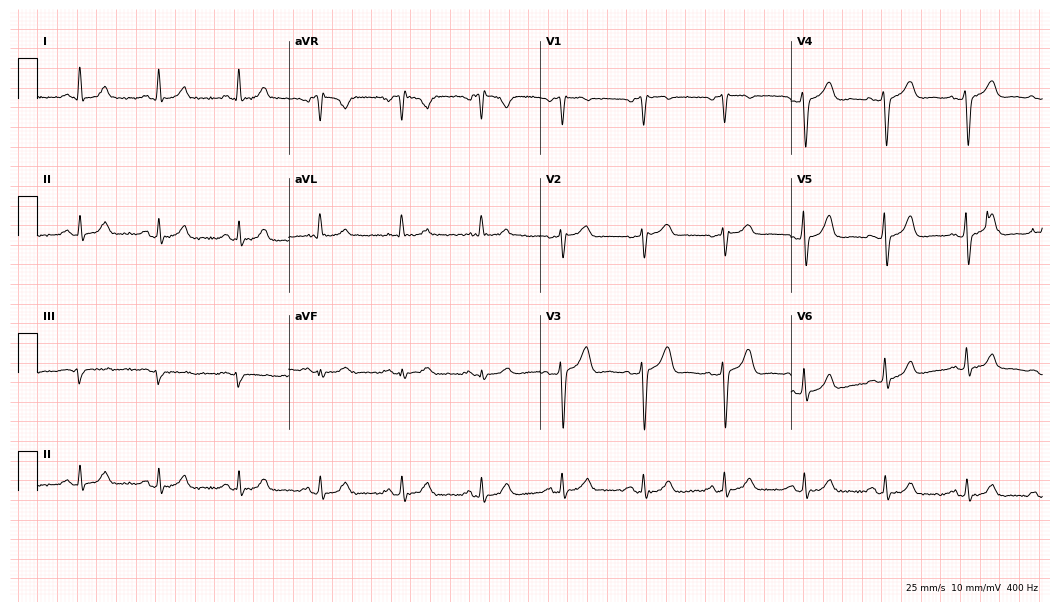
ECG (10.2-second recording at 400 Hz) — a female, 67 years old. Screened for six findings — first-degree AV block, right bundle branch block, left bundle branch block, sinus bradycardia, atrial fibrillation, sinus tachycardia — none is recorded. Other findings, if any, are not listed.